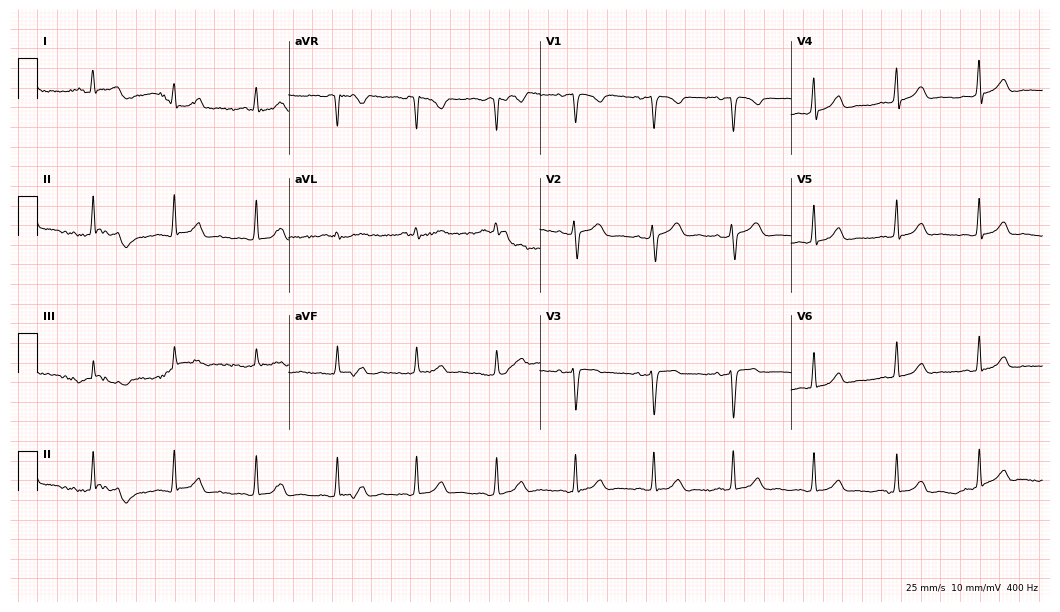
12-lead ECG from a 40-year-old female. Labelled as a normal ECG.